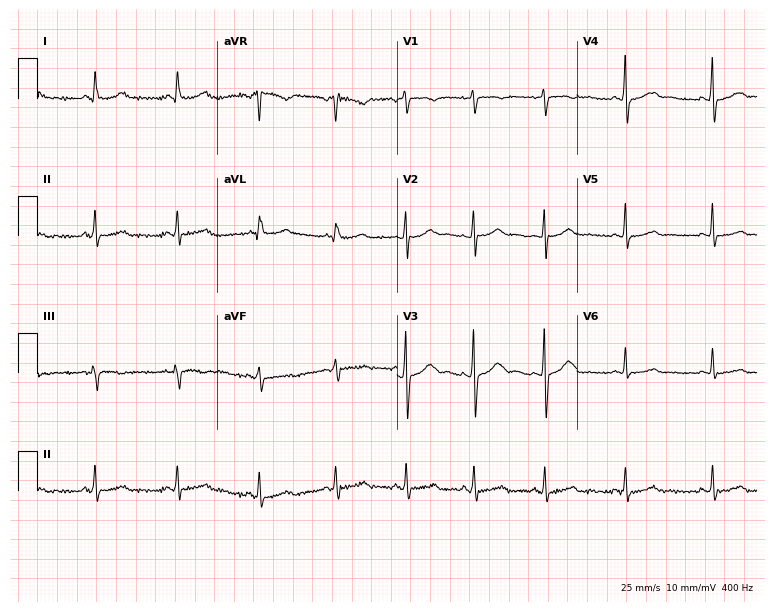
12-lead ECG from a 27-year-old woman (7.3-second recording at 400 Hz). No first-degree AV block, right bundle branch block (RBBB), left bundle branch block (LBBB), sinus bradycardia, atrial fibrillation (AF) or sinus tachycardia recorded for this tracing.